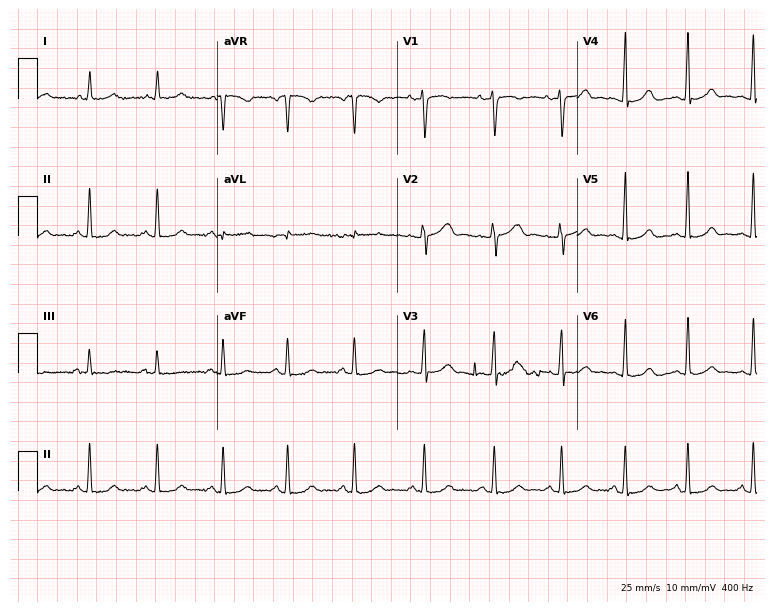
12-lead ECG from a female, 23 years old (7.3-second recording at 400 Hz). No first-degree AV block, right bundle branch block, left bundle branch block, sinus bradycardia, atrial fibrillation or sinus tachycardia recorded for this tracing. Only these six findings were labelled.